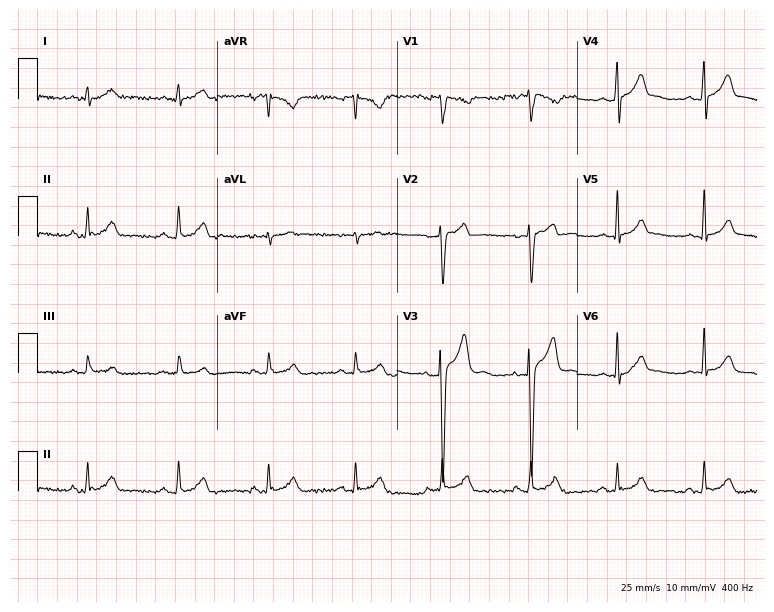
Resting 12-lead electrocardiogram. Patient: a male, 31 years old. Read as a normal ECG.